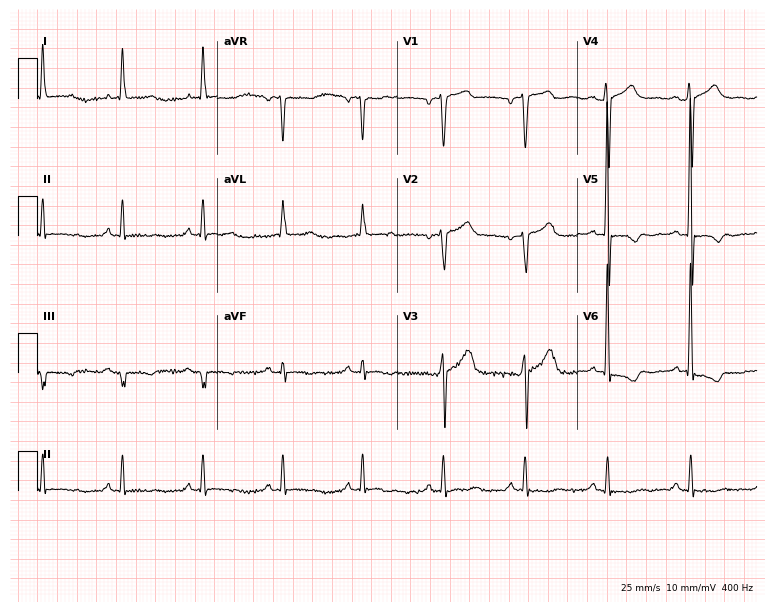
Electrocardiogram, a male patient, 67 years old. Of the six screened findings (first-degree AV block, right bundle branch block, left bundle branch block, sinus bradycardia, atrial fibrillation, sinus tachycardia), none is recorded.